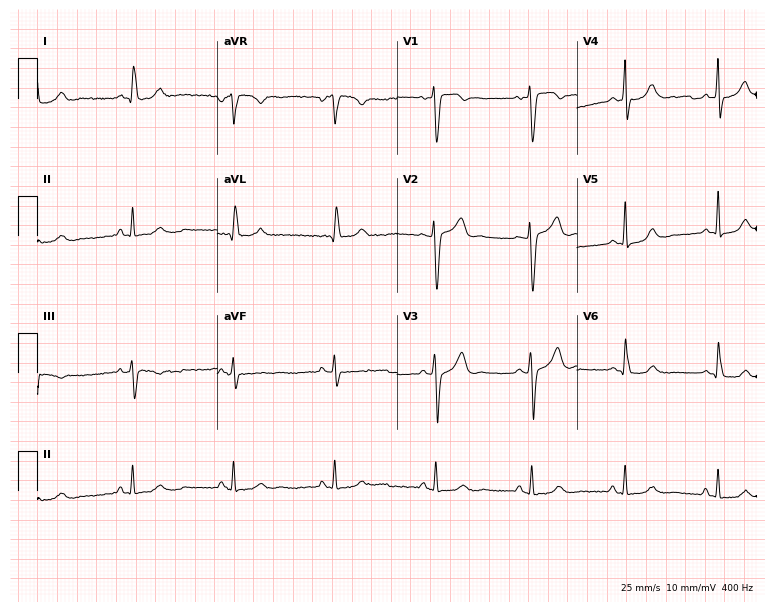
ECG — a 46-year-old male. Screened for six findings — first-degree AV block, right bundle branch block (RBBB), left bundle branch block (LBBB), sinus bradycardia, atrial fibrillation (AF), sinus tachycardia — none is recorded.